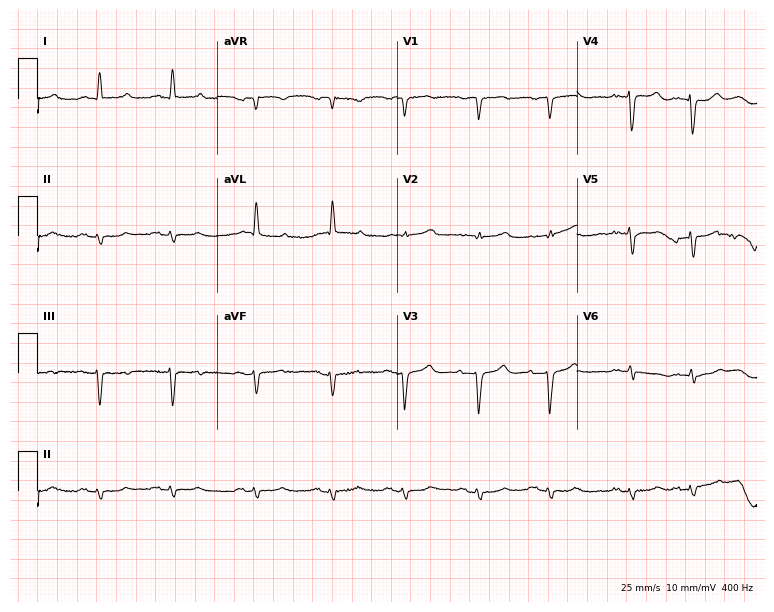
Electrocardiogram, a 70-year-old female patient. Of the six screened findings (first-degree AV block, right bundle branch block, left bundle branch block, sinus bradycardia, atrial fibrillation, sinus tachycardia), none is recorded.